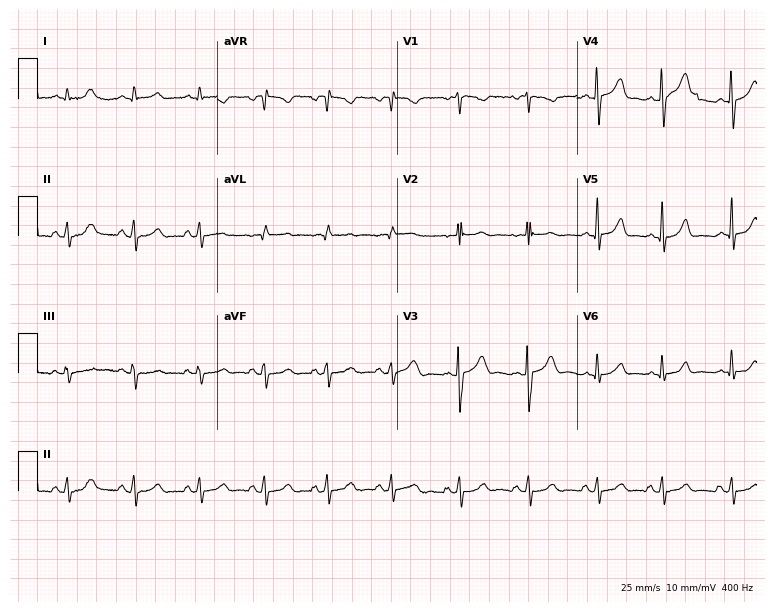
Resting 12-lead electrocardiogram. Patient: a female, 25 years old. Read as a normal ECG.